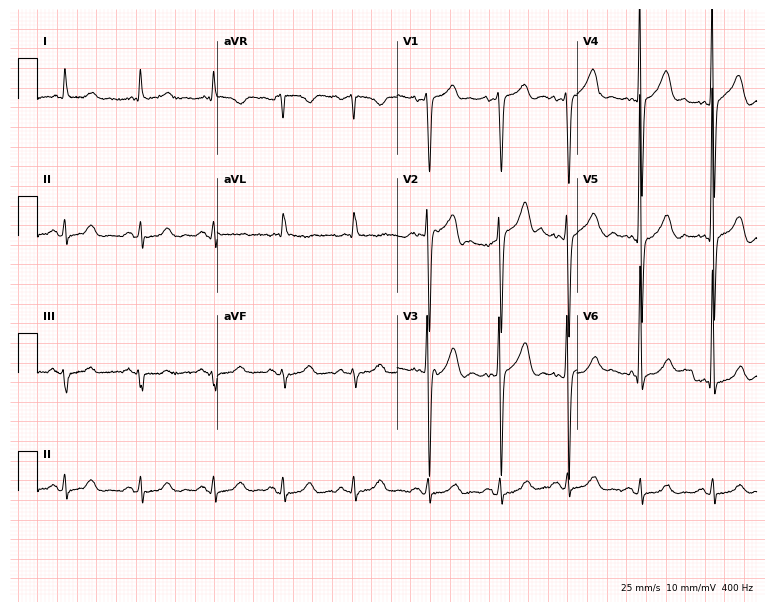
Standard 12-lead ECG recorded from a 76-year-old man (7.3-second recording at 400 Hz). None of these six findings is recorded: first-degree AV block, right bundle branch block (RBBB), left bundle branch block (LBBB), sinus bradycardia, atrial fibrillation (AF), sinus tachycardia. Only these six findings were labelled.